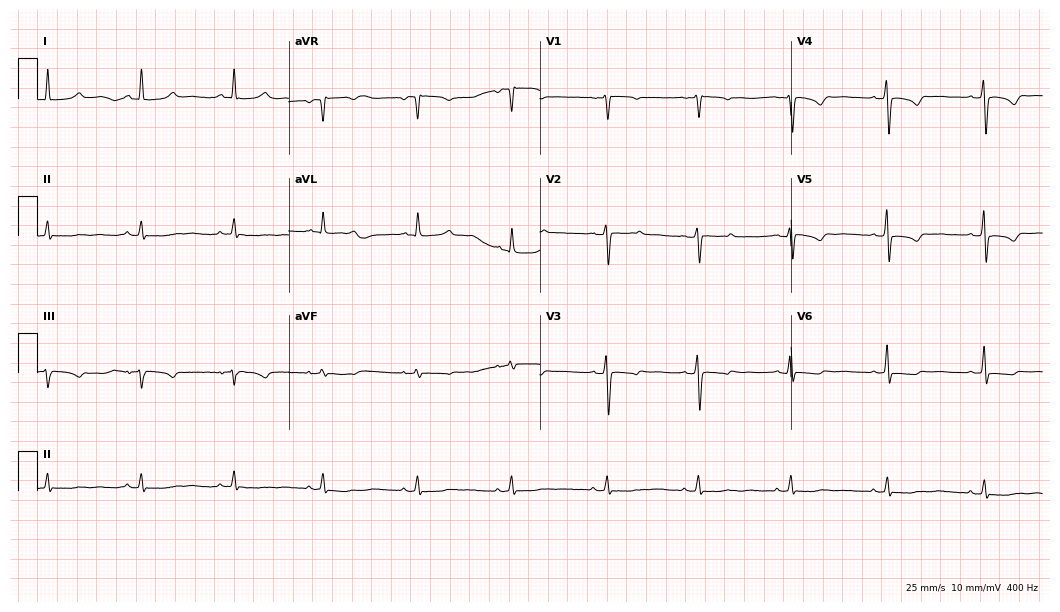
Electrocardiogram, a 47-year-old woman. Of the six screened findings (first-degree AV block, right bundle branch block, left bundle branch block, sinus bradycardia, atrial fibrillation, sinus tachycardia), none is recorded.